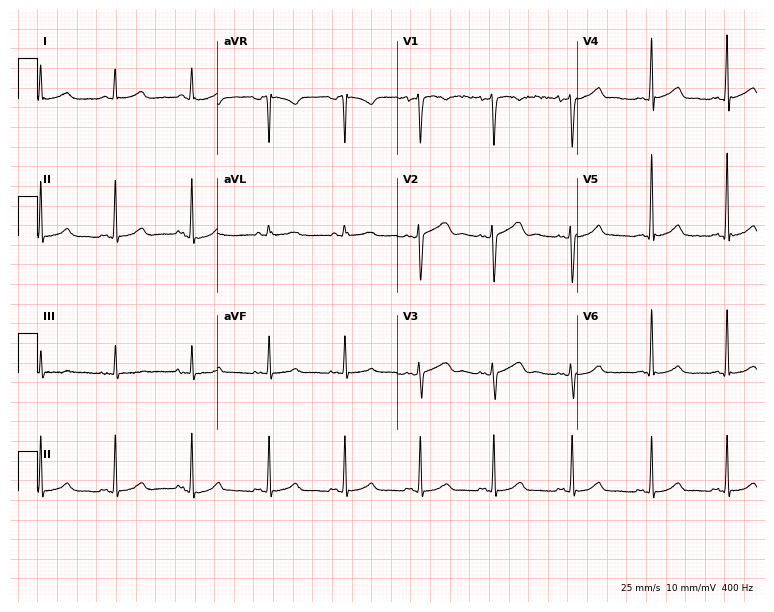
ECG (7.3-second recording at 400 Hz) — a 35-year-old female. Labelled as a normal ECG.